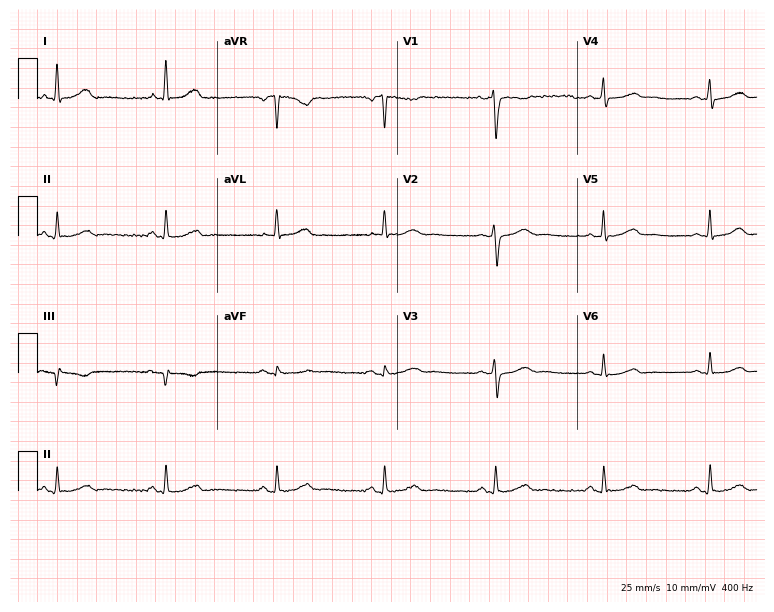
Resting 12-lead electrocardiogram. Patient: a 58-year-old female. Read as a normal ECG.